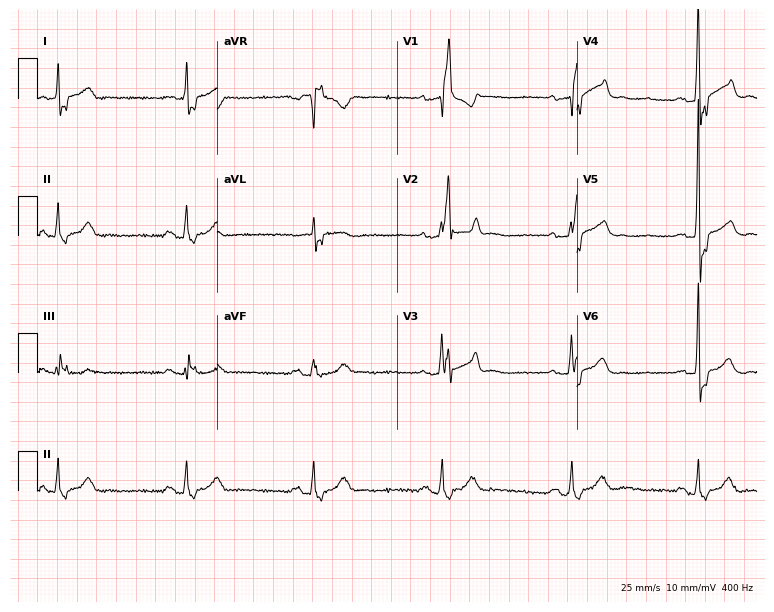
12-lead ECG from a 61-year-old male. Findings include right bundle branch block, sinus bradycardia (a sinus rate of 50 beats per minute or less).